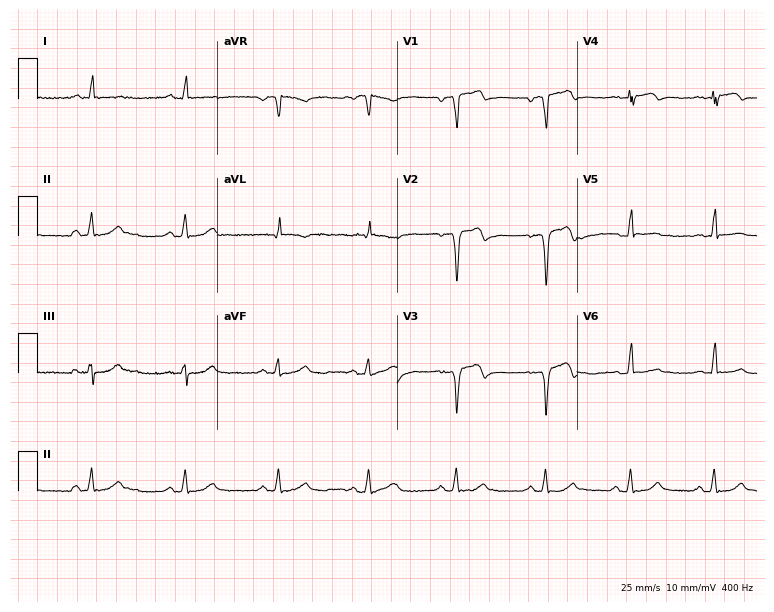
ECG (7.3-second recording at 400 Hz) — a 61-year-old male. Labelled as a normal ECG.